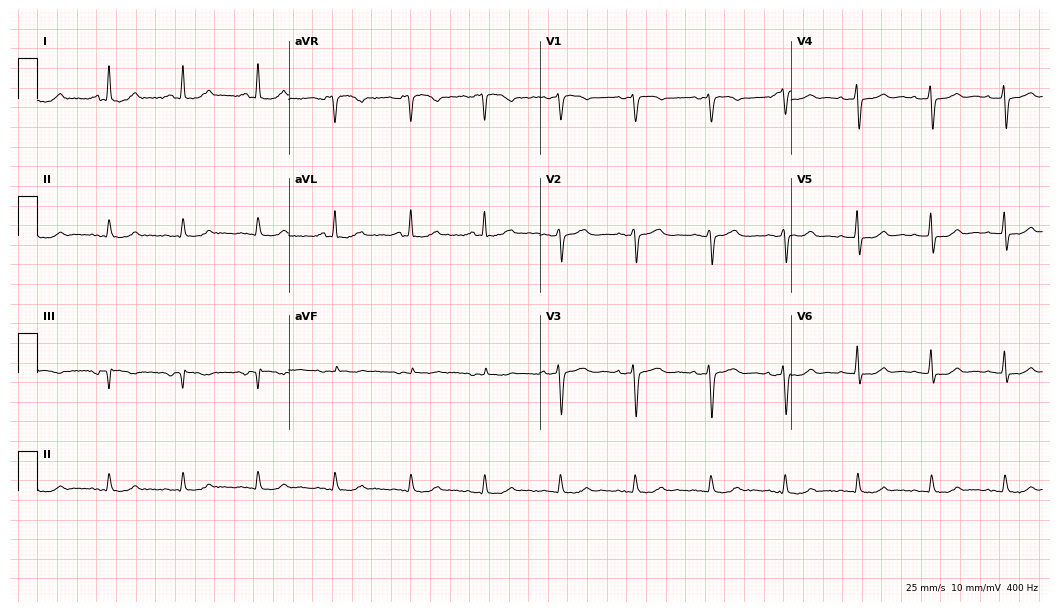
ECG (10.2-second recording at 400 Hz) — a woman, 66 years old. Labelled as a normal ECG.